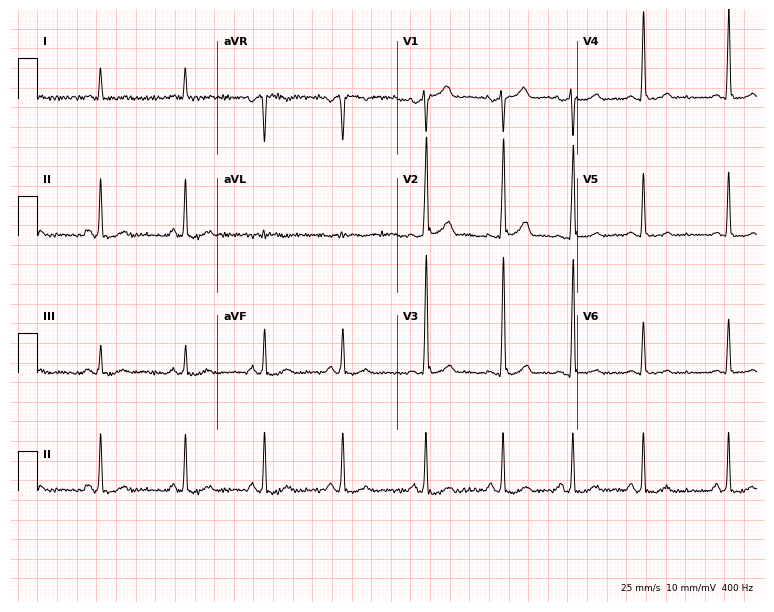
Electrocardiogram (7.3-second recording at 400 Hz), a 48-year-old man. Of the six screened findings (first-degree AV block, right bundle branch block, left bundle branch block, sinus bradycardia, atrial fibrillation, sinus tachycardia), none is recorded.